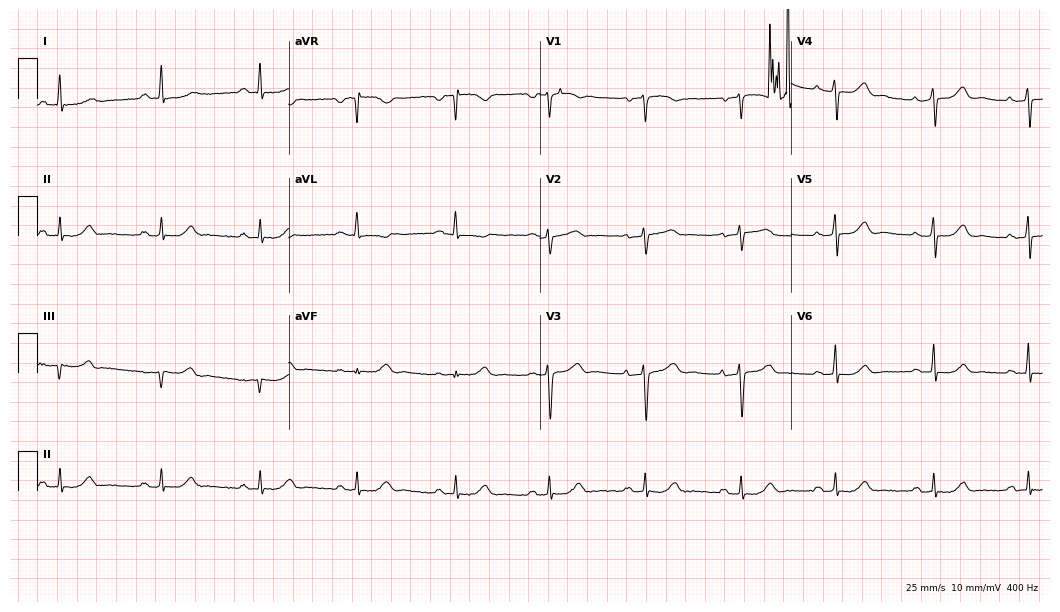
12-lead ECG from a female patient, 51 years old (10.2-second recording at 400 Hz). Recorded interpretation: within normal limits.